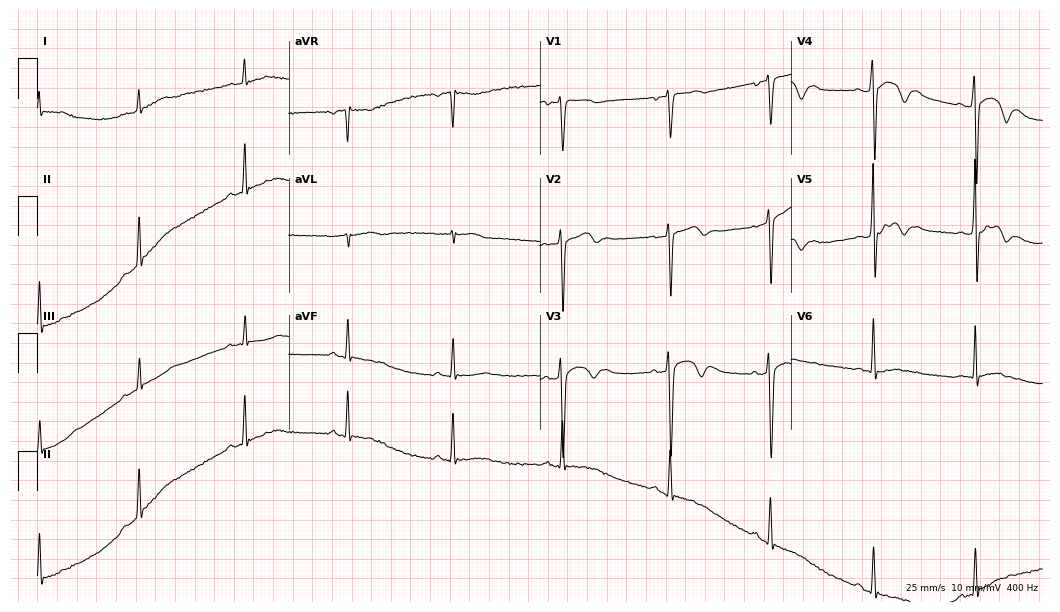
ECG (10.2-second recording at 400 Hz) — a man, 32 years old. Screened for six findings — first-degree AV block, right bundle branch block, left bundle branch block, sinus bradycardia, atrial fibrillation, sinus tachycardia — none is recorded.